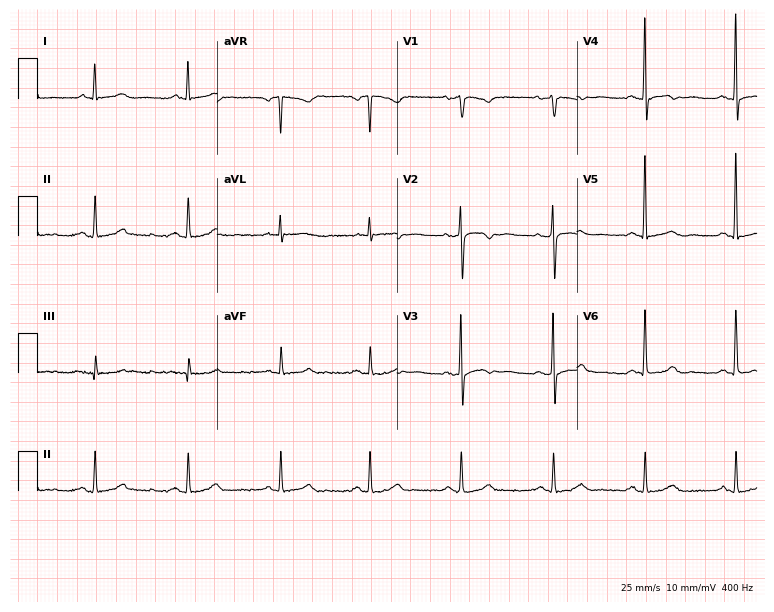
12-lead ECG from a female patient, 63 years old. Labelled as a normal ECG.